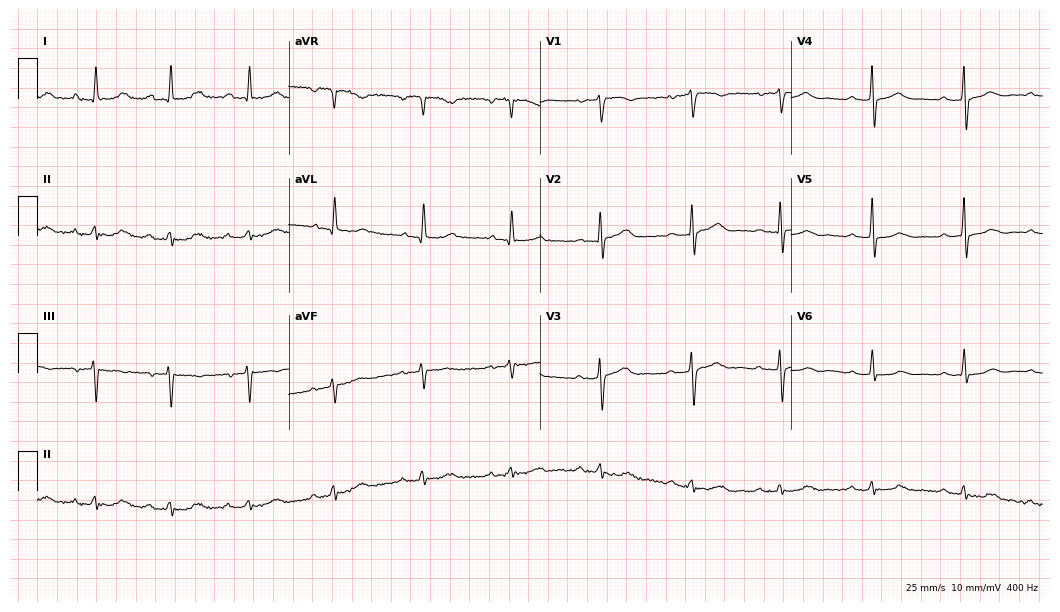
ECG (10.2-second recording at 400 Hz) — a female patient, 70 years old. Screened for six findings — first-degree AV block, right bundle branch block, left bundle branch block, sinus bradycardia, atrial fibrillation, sinus tachycardia — none is recorded. Only these six findings were labelled.